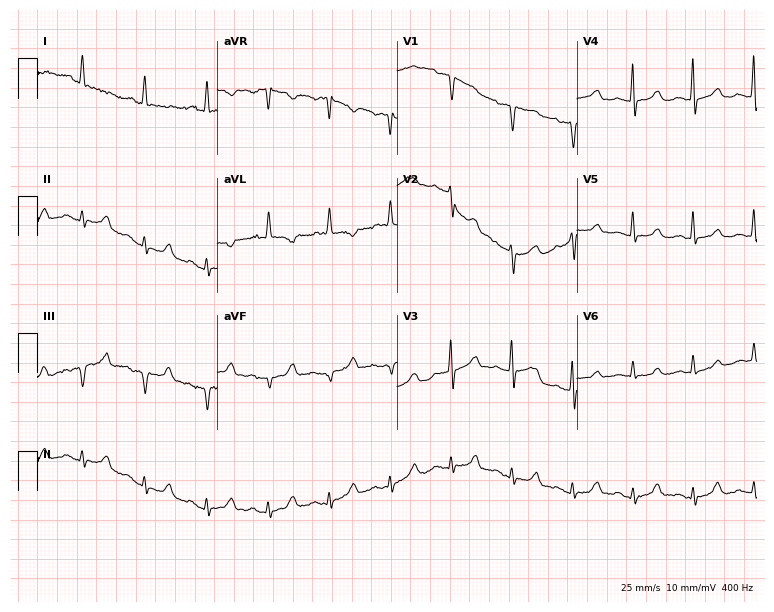
ECG — a 69-year-old female patient. Screened for six findings — first-degree AV block, right bundle branch block (RBBB), left bundle branch block (LBBB), sinus bradycardia, atrial fibrillation (AF), sinus tachycardia — none is recorded.